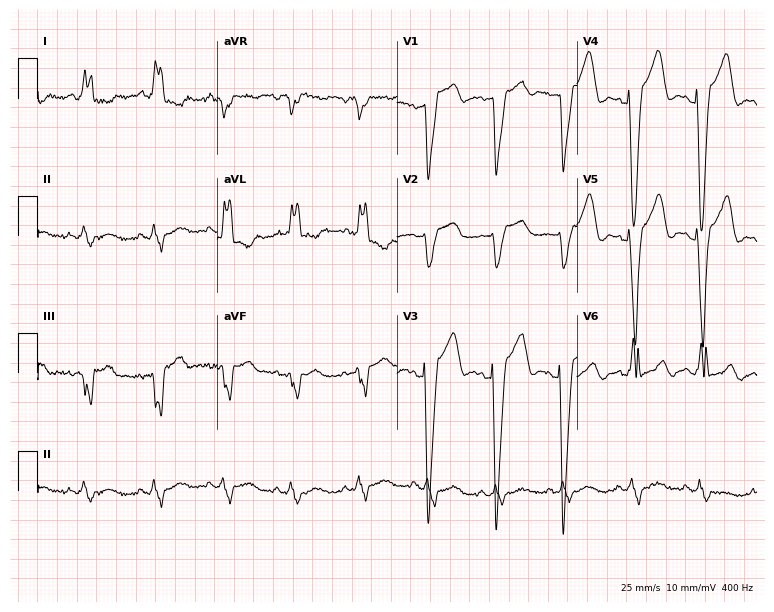
ECG (7.3-second recording at 400 Hz) — a 73-year-old female patient. Findings include left bundle branch block (LBBB).